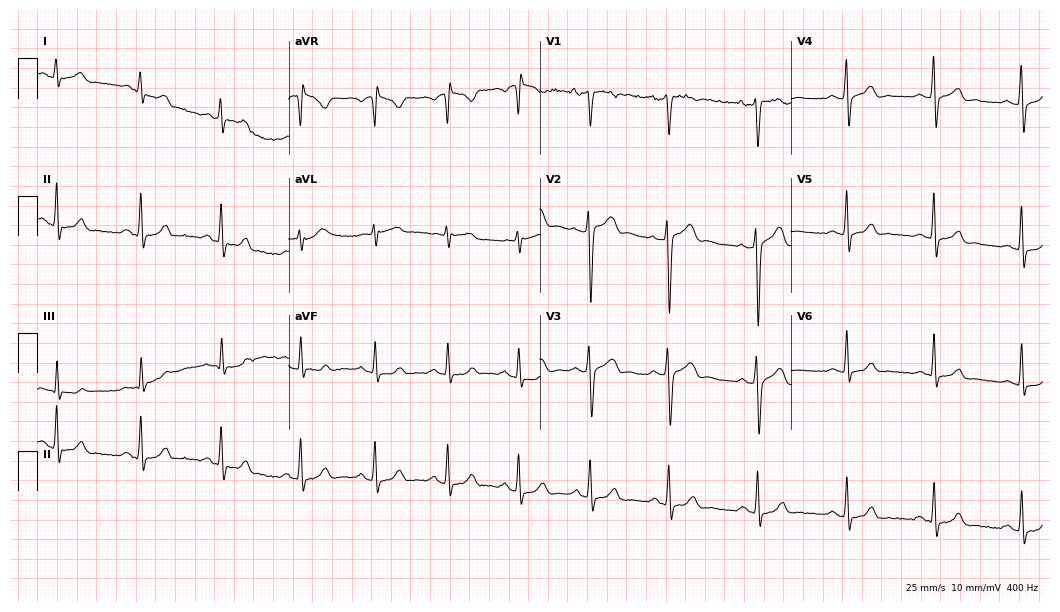
Resting 12-lead electrocardiogram (10.2-second recording at 400 Hz). Patient: a 23-year-old man. Read as a normal ECG.